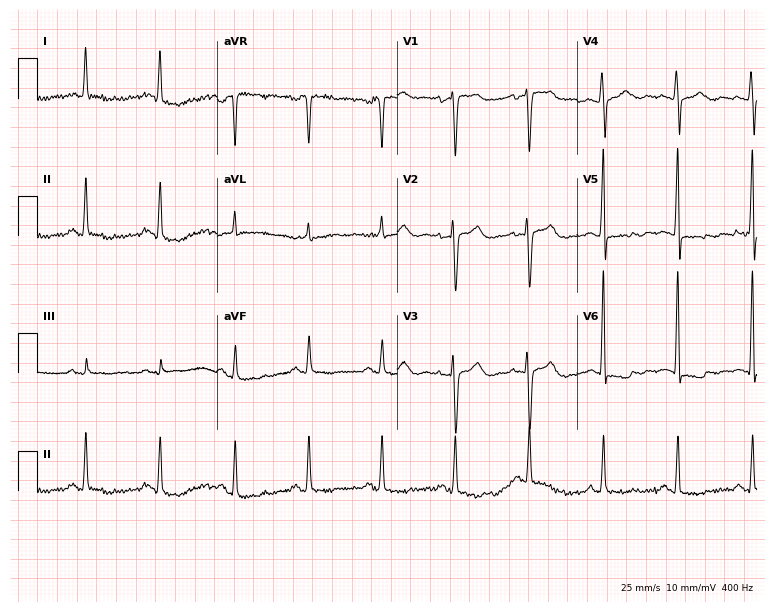
ECG — a female patient, 52 years old. Screened for six findings — first-degree AV block, right bundle branch block, left bundle branch block, sinus bradycardia, atrial fibrillation, sinus tachycardia — none is recorded.